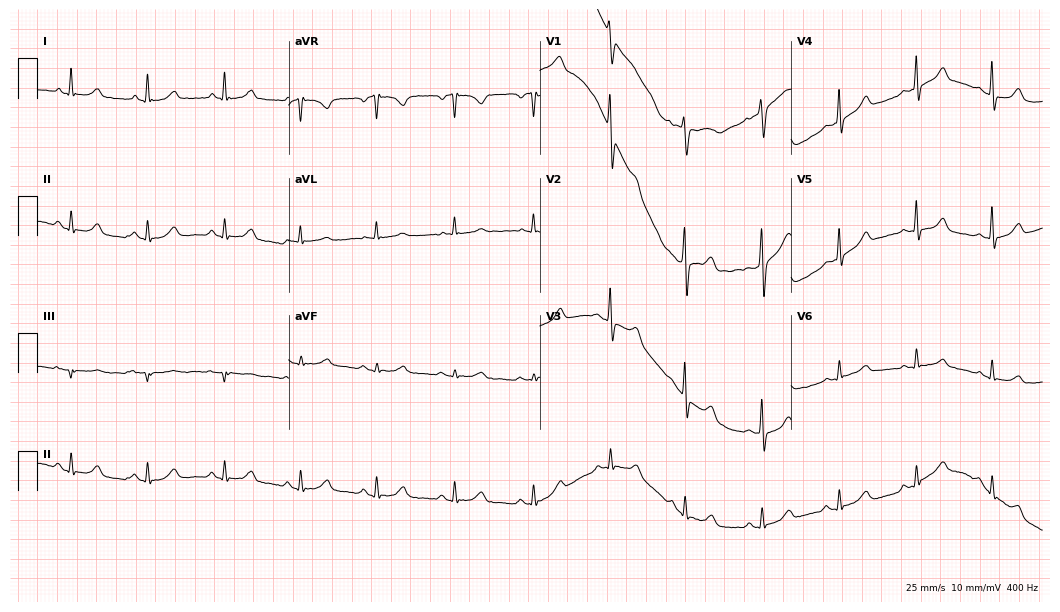
12-lead ECG from a female, 51 years old (10.2-second recording at 400 Hz). No first-degree AV block, right bundle branch block (RBBB), left bundle branch block (LBBB), sinus bradycardia, atrial fibrillation (AF) or sinus tachycardia recorded for this tracing.